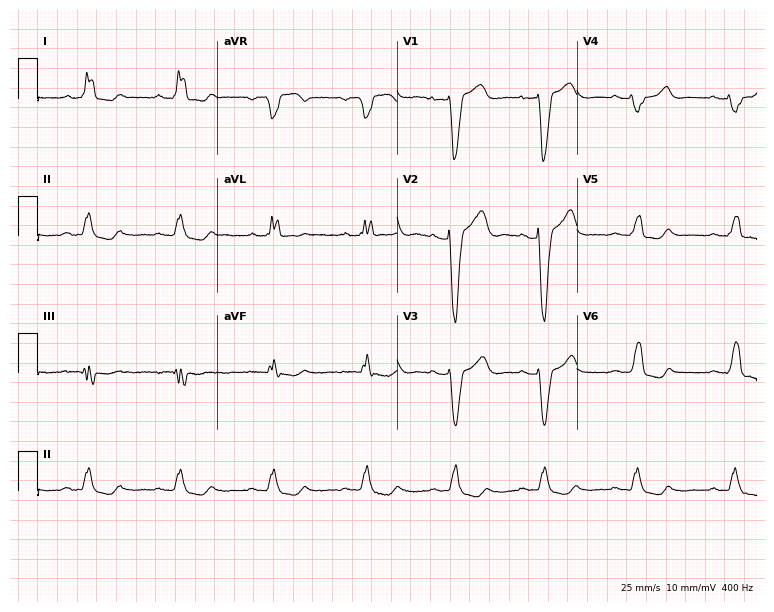
12-lead ECG from a 56-year-old female patient. Shows left bundle branch block (LBBB).